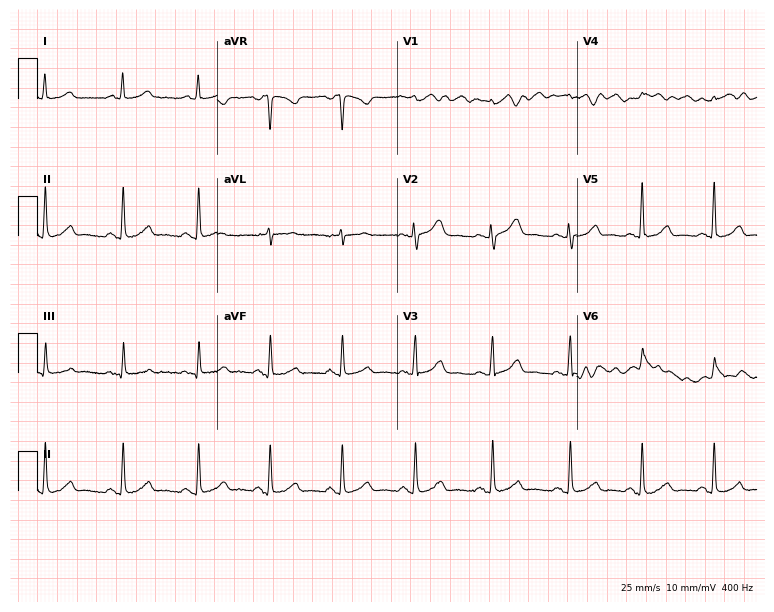
Standard 12-lead ECG recorded from a 42-year-old female. None of these six findings is recorded: first-degree AV block, right bundle branch block (RBBB), left bundle branch block (LBBB), sinus bradycardia, atrial fibrillation (AF), sinus tachycardia.